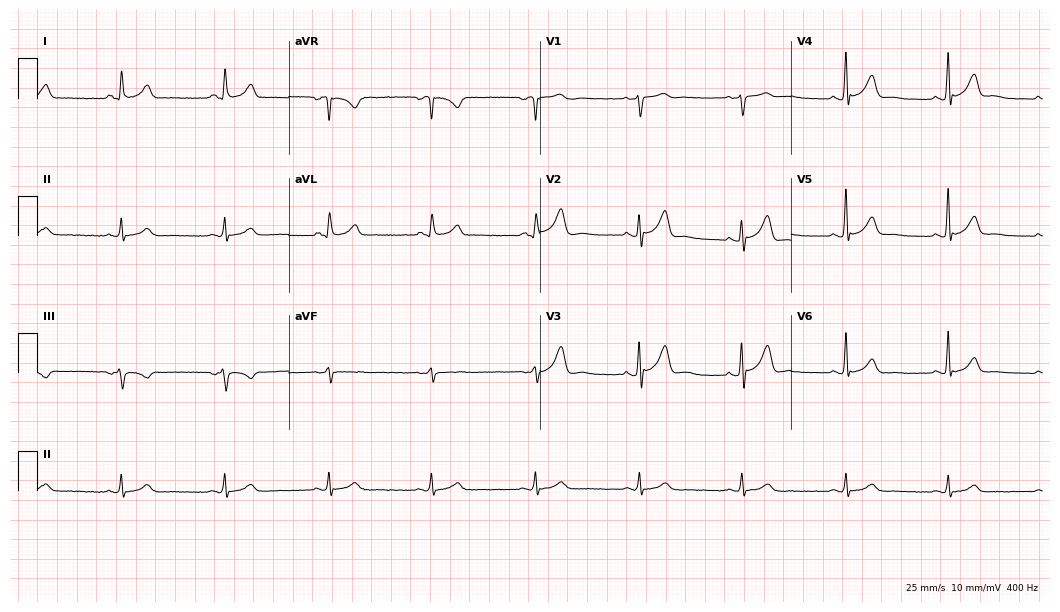
Resting 12-lead electrocardiogram. Patient: a 63-year-old man. Read as a normal ECG.